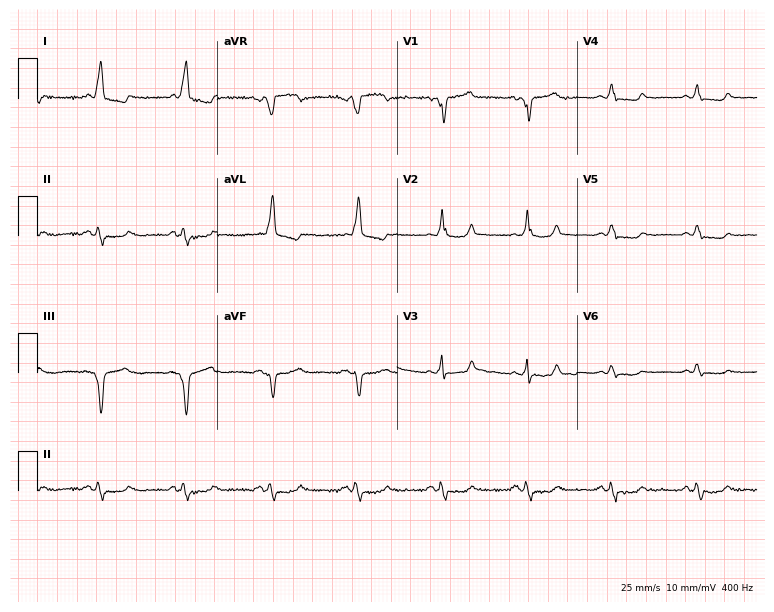
Electrocardiogram (7.3-second recording at 400 Hz), an 82-year-old female. Interpretation includes left bundle branch block (LBBB).